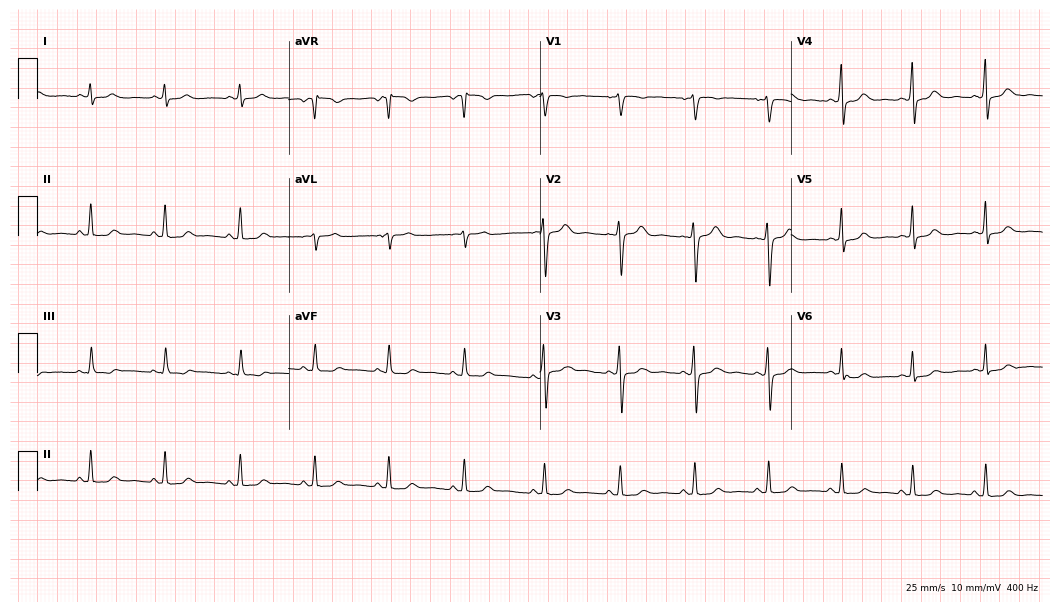
Resting 12-lead electrocardiogram (10.2-second recording at 400 Hz). Patient: a female, 35 years old. Read as a normal ECG.